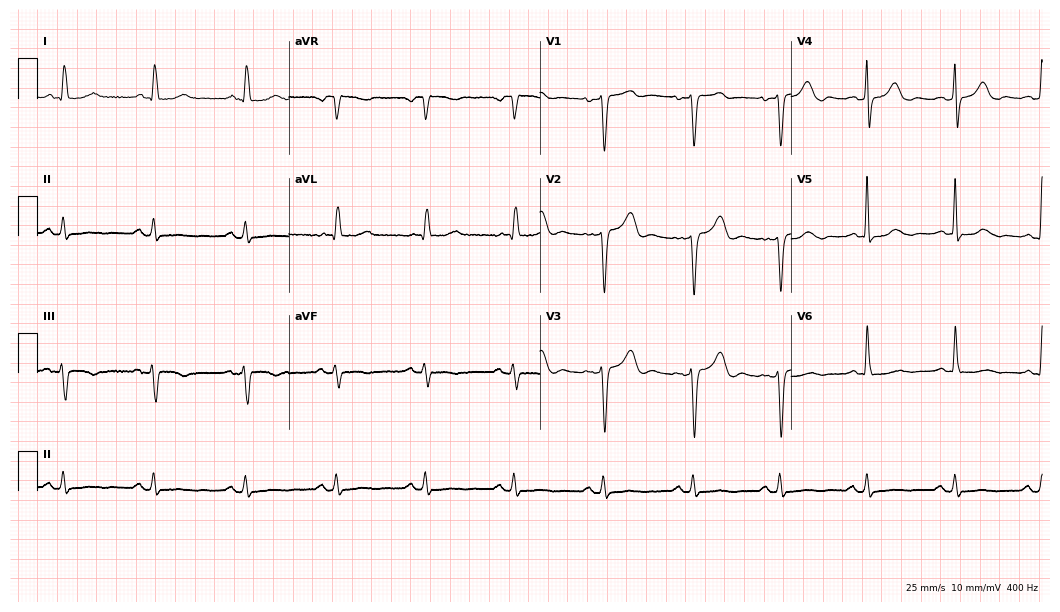
Electrocardiogram, a 65-year-old female patient. Of the six screened findings (first-degree AV block, right bundle branch block, left bundle branch block, sinus bradycardia, atrial fibrillation, sinus tachycardia), none is recorded. Other findings, if any, are not listed.